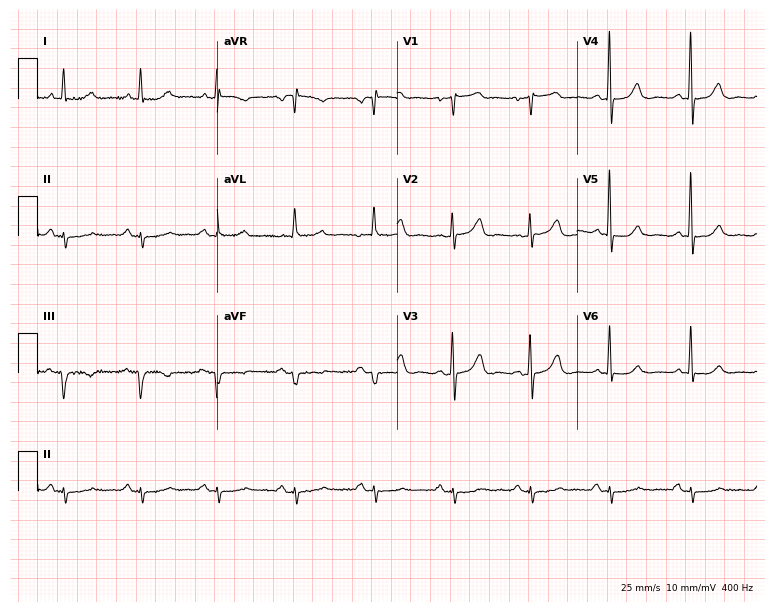
12-lead ECG from a man, 63 years old. Screened for six findings — first-degree AV block, right bundle branch block, left bundle branch block, sinus bradycardia, atrial fibrillation, sinus tachycardia — none is recorded.